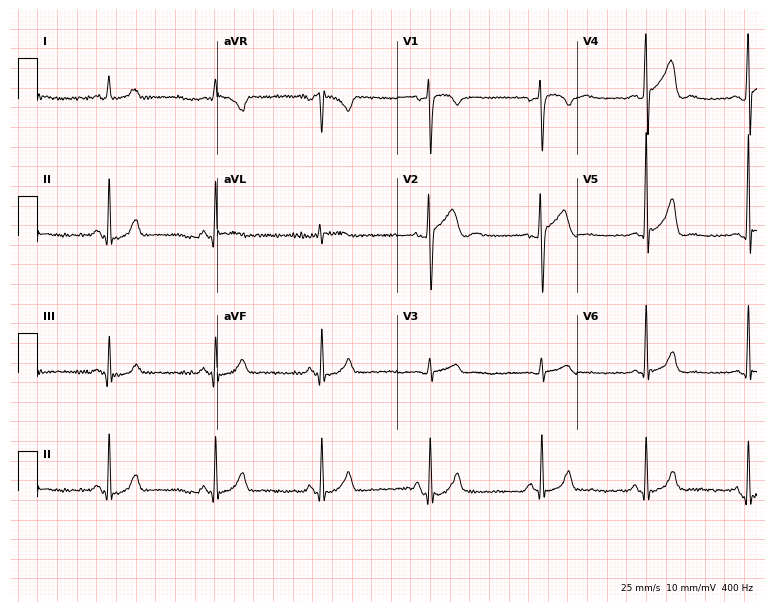
Resting 12-lead electrocardiogram (7.3-second recording at 400 Hz). Patient: a 36-year-old male. None of these six findings is recorded: first-degree AV block, right bundle branch block, left bundle branch block, sinus bradycardia, atrial fibrillation, sinus tachycardia. Only these six findings were labelled.